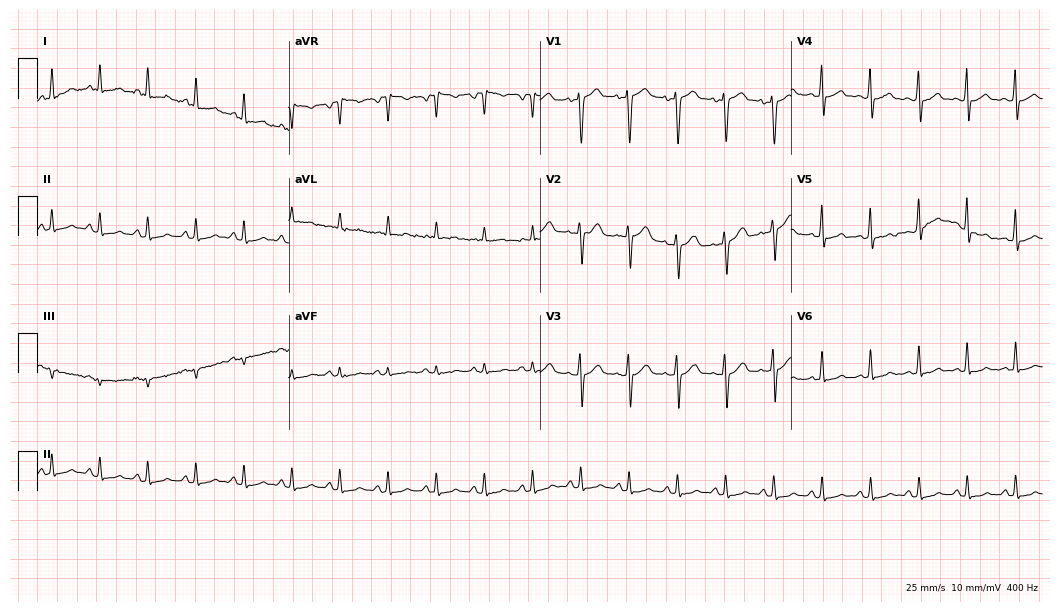
ECG — a female, 47 years old. Findings include sinus tachycardia (a sinus rate of 100 beats per minute or more).